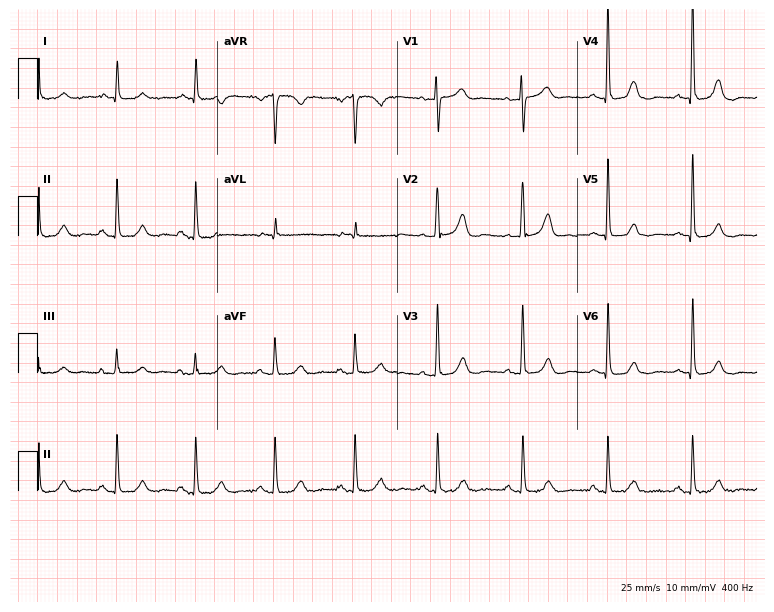
Standard 12-lead ECG recorded from a female, 66 years old. Read as a normal ECG.